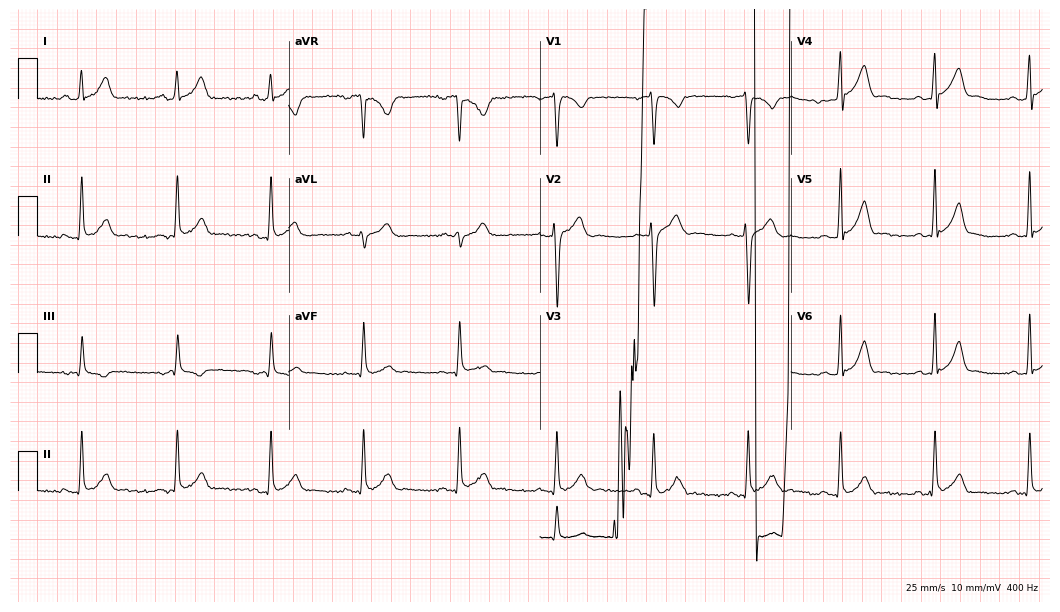
Electrocardiogram (10.2-second recording at 400 Hz), a 26-year-old man. Of the six screened findings (first-degree AV block, right bundle branch block, left bundle branch block, sinus bradycardia, atrial fibrillation, sinus tachycardia), none is recorded.